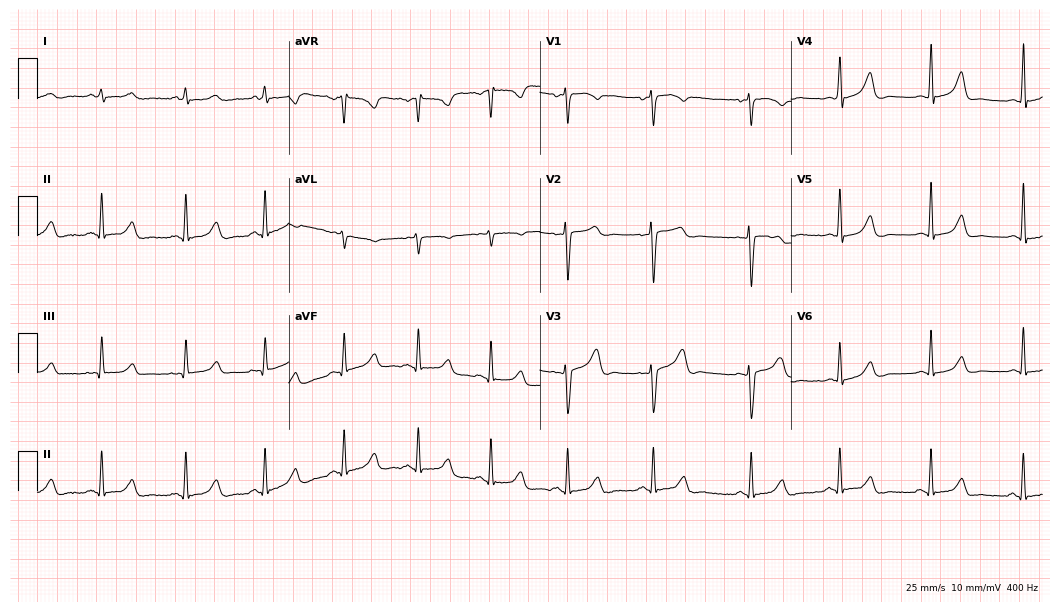
12-lead ECG (10.2-second recording at 400 Hz) from a man, 36 years old. Labelled as a normal ECG.